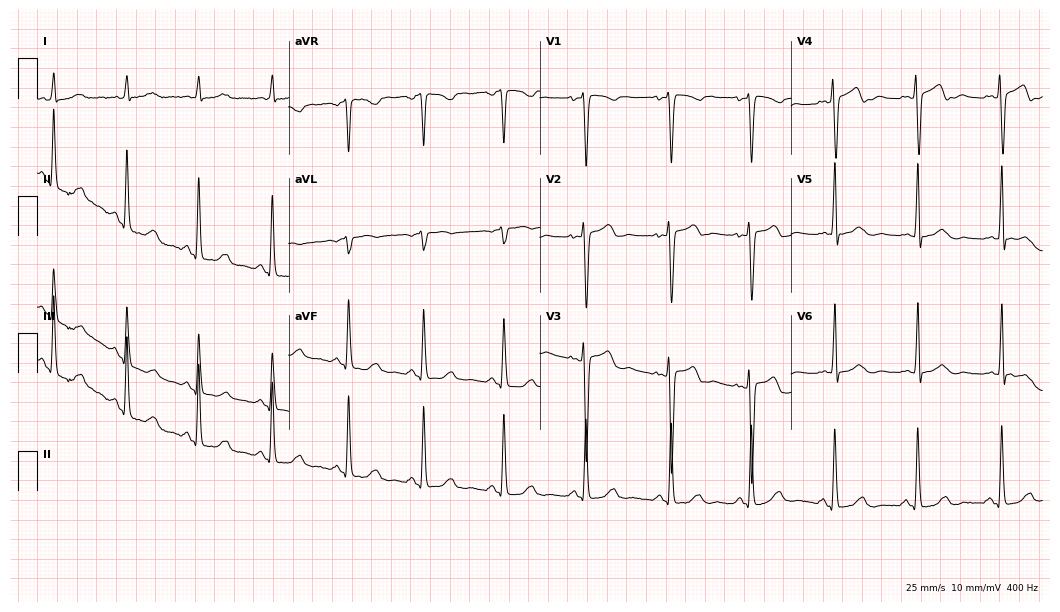
Electrocardiogram (10.2-second recording at 400 Hz), a woman, 44 years old. Of the six screened findings (first-degree AV block, right bundle branch block, left bundle branch block, sinus bradycardia, atrial fibrillation, sinus tachycardia), none is recorded.